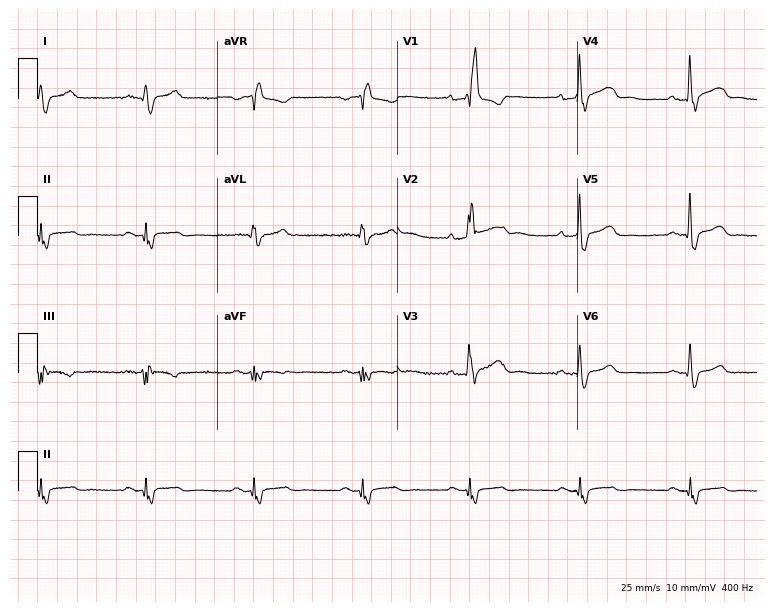
12-lead ECG from a male, 41 years old. Shows right bundle branch block (RBBB).